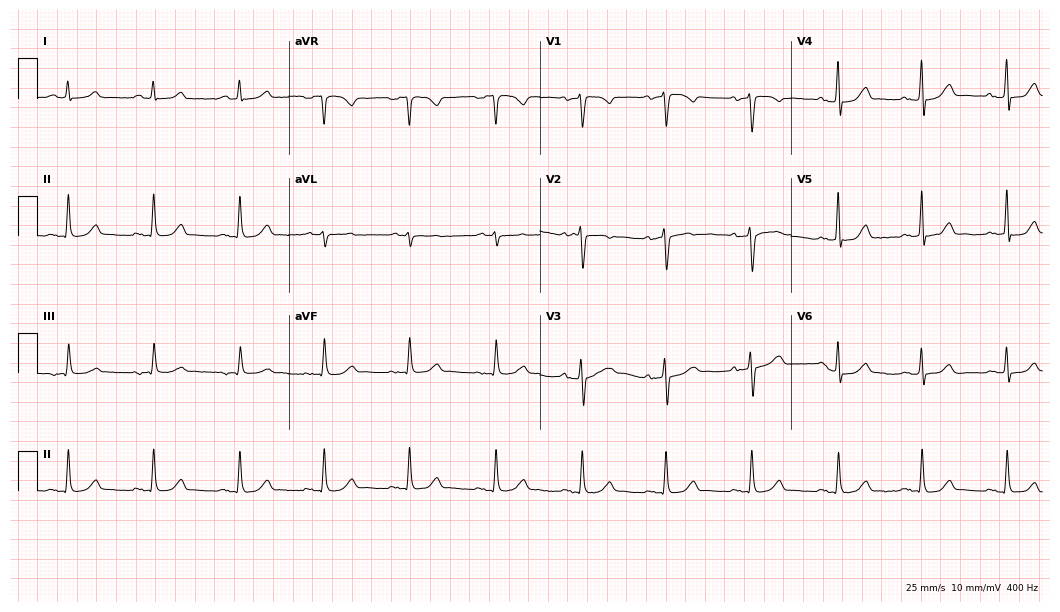
Electrocardiogram, a 65-year-old man. Of the six screened findings (first-degree AV block, right bundle branch block, left bundle branch block, sinus bradycardia, atrial fibrillation, sinus tachycardia), none is recorded.